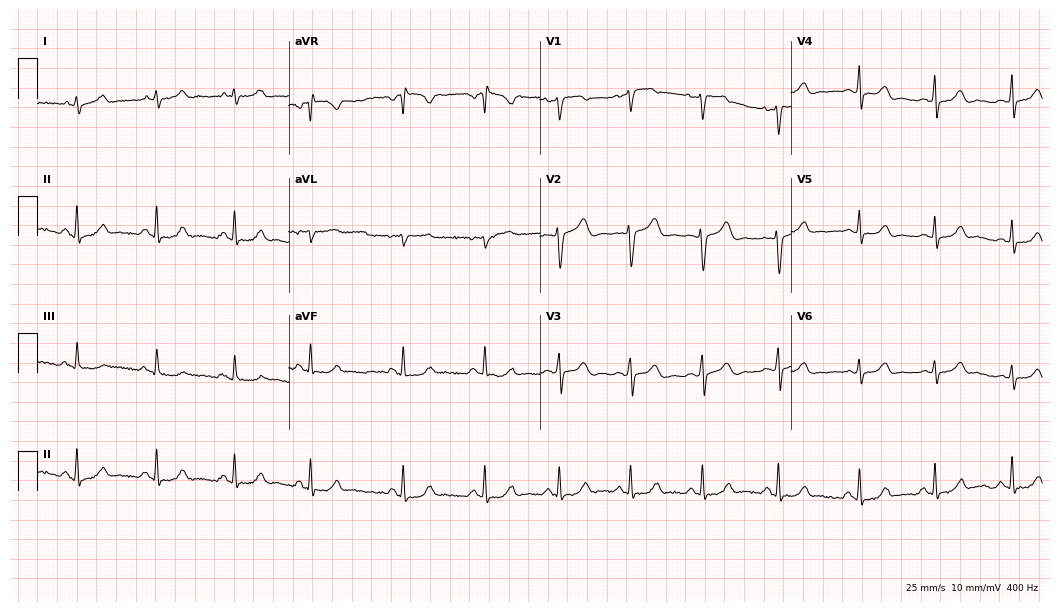
Resting 12-lead electrocardiogram (10.2-second recording at 400 Hz). Patient: a female, 28 years old. None of these six findings is recorded: first-degree AV block, right bundle branch block, left bundle branch block, sinus bradycardia, atrial fibrillation, sinus tachycardia.